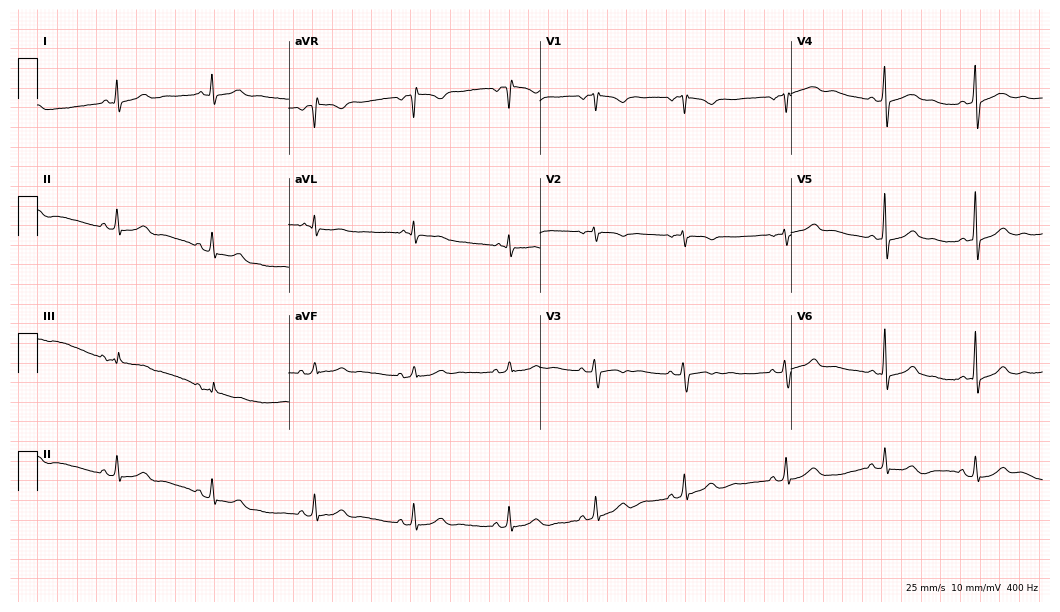
Resting 12-lead electrocardiogram (10.2-second recording at 400 Hz). Patient: a 30-year-old woman. Read as a normal ECG.